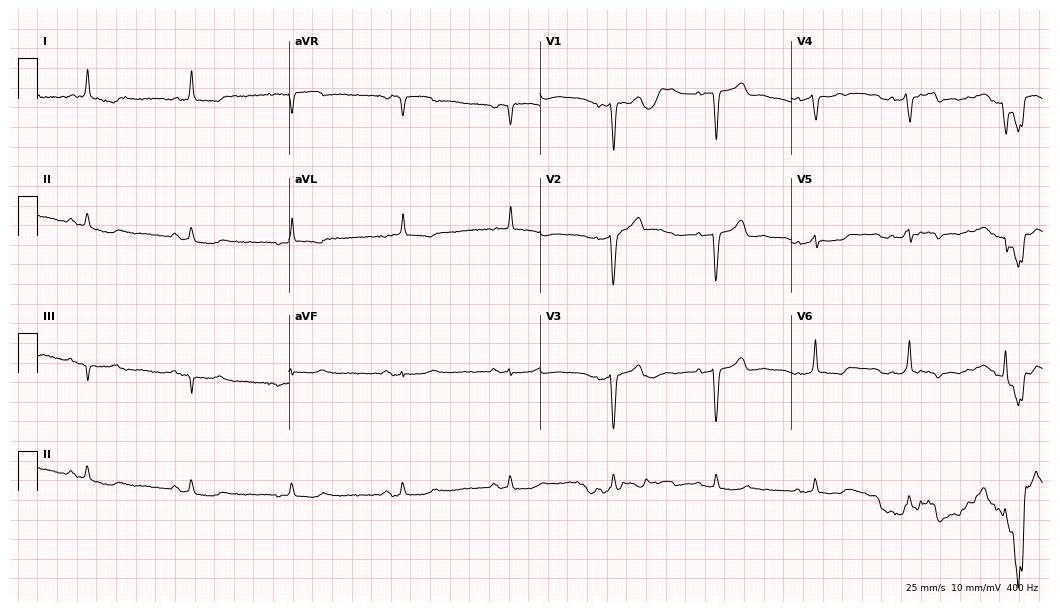
Resting 12-lead electrocardiogram. Patient: a male, 86 years old. None of these six findings is recorded: first-degree AV block, right bundle branch block (RBBB), left bundle branch block (LBBB), sinus bradycardia, atrial fibrillation (AF), sinus tachycardia.